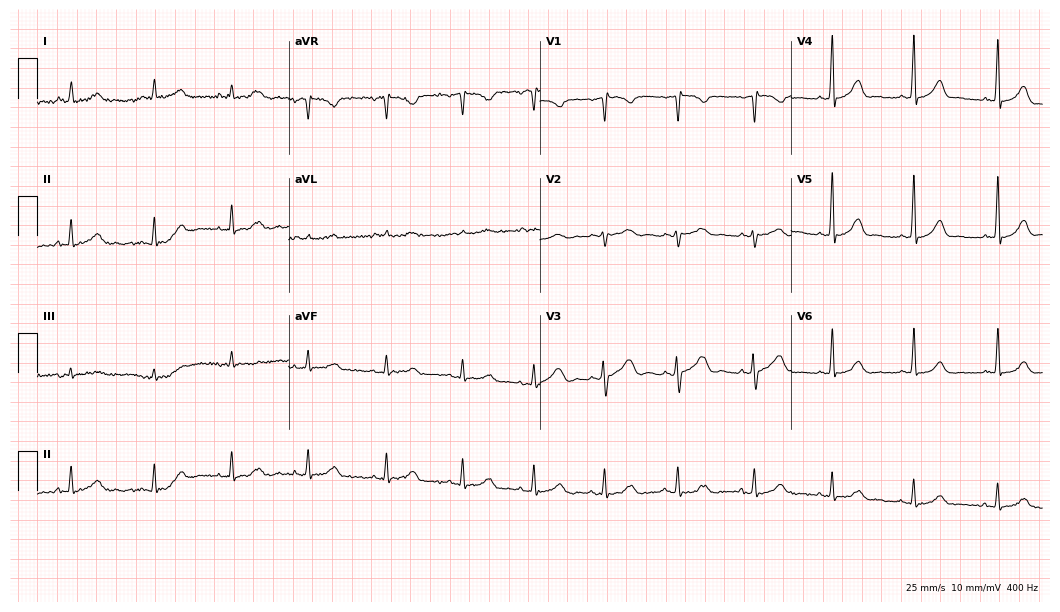
12-lead ECG (10.2-second recording at 400 Hz) from a 49-year-old woman. Screened for six findings — first-degree AV block, right bundle branch block, left bundle branch block, sinus bradycardia, atrial fibrillation, sinus tachycardia — none is recorded. Other findings, if any, are not listed.